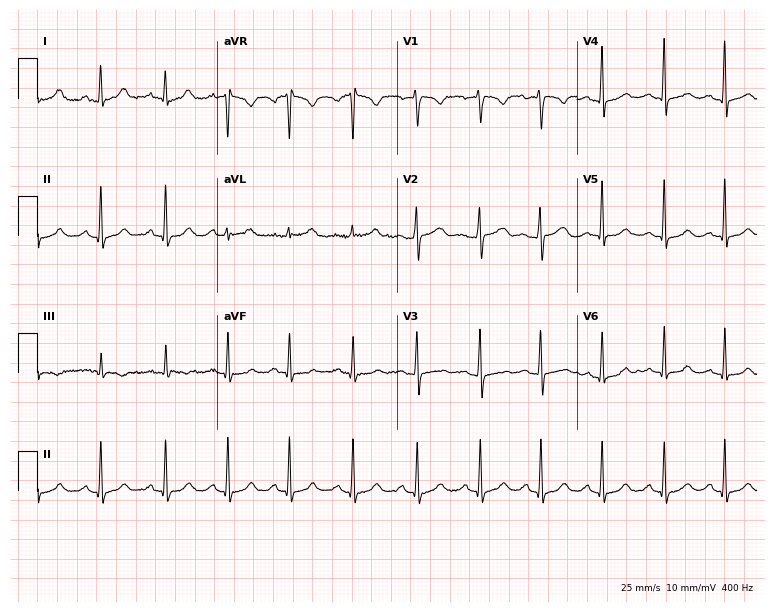
Standard 12-lead ECG recorded from a female patient, 25 years old (7.3-second recording at 400 Hz). Read as a normal ECG.